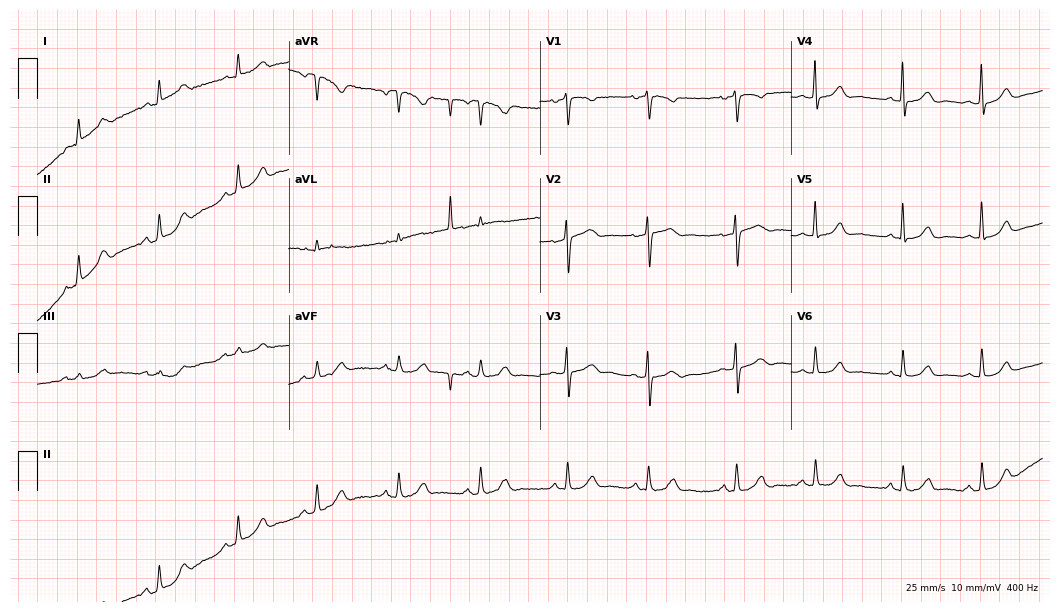
ECG — a female, 85 years old. Screened for six findings — first-degree AV block, right bundle branch block (RBBB), left bundle branch block (LBBB), sinus bradycardia, atrial fibrillation (AF), sinus tachycardia — none is recorded.